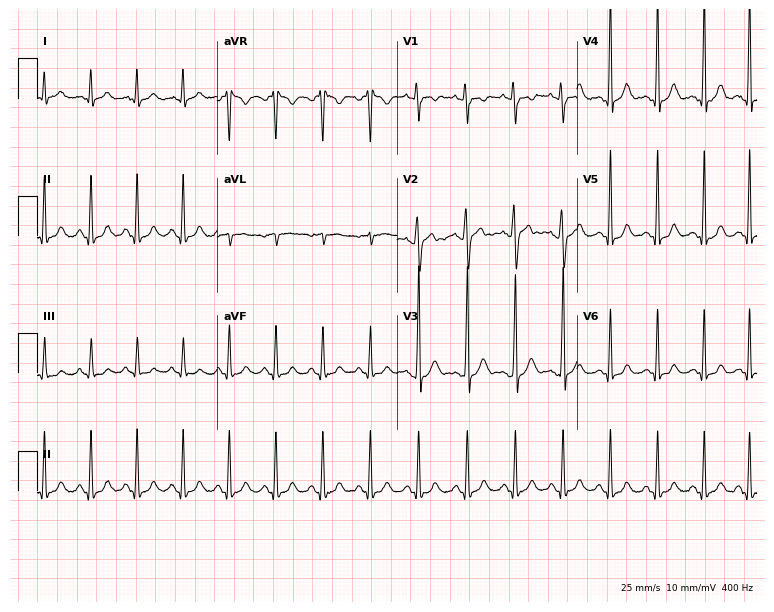
Resting 12-lead electrocardiogram. Patient: a male, 17 years old. The tracing shows sinus tachycardia (a sinus rate of 100 beats per minute or more).